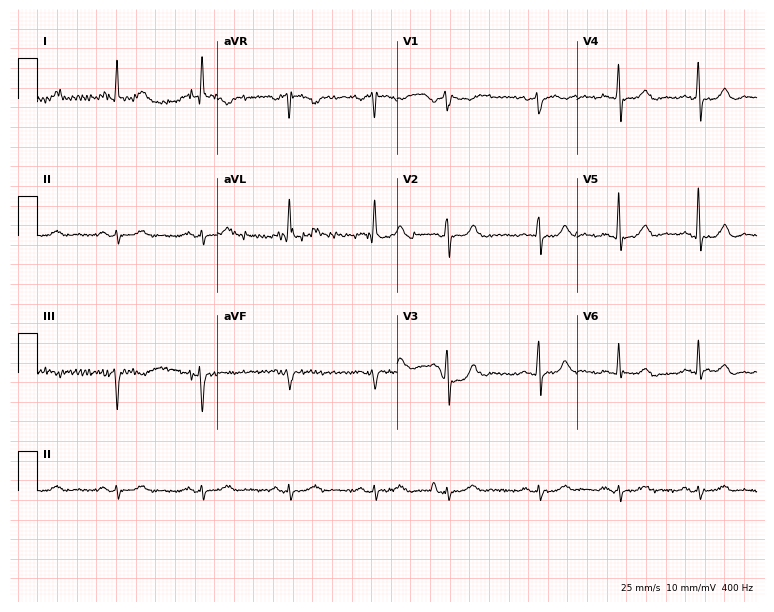
Standard 12-lead ECG recorded from a woman, 72 years old. None of these six findings is recorded: first-degree AV block, right bundle branch block (RBBB), left bundle branch block (LBBB), sinus bradycardia, atrial fibrillation (AF), sinus tachycardia. Only these six findings were labelled.